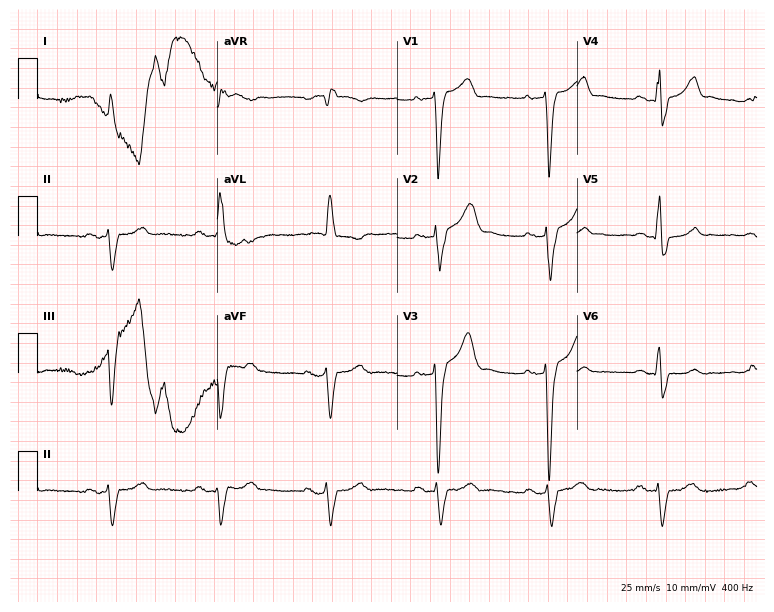
Standard 12-lead ECG recorded from a 79-year-old male patient (7.3-second recording at 400 Hz). The tracing shows left bundle branch block (LBBB).